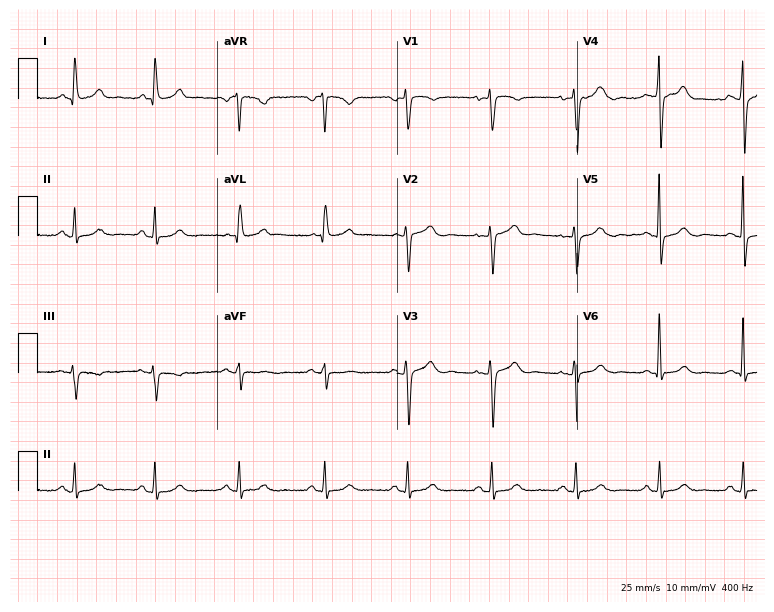
Resting 12-lead electrocardiogram (7.3-second recording at 400 Hz). Patient: a woman, 66 years old. Read as a normal ECG.